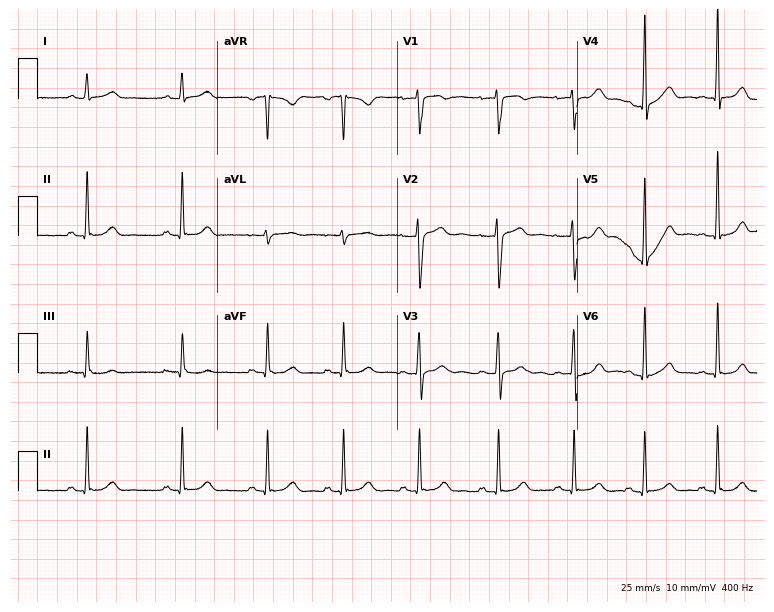
Electrocardiogram (7.3-second recording at 400 Hz), a 23-year-old female. Of the six screened findings (first-degree AV block, right bundle branch block, left bundle branch block, sinus bradycardia, atrial fibrillation, sinus tachycardia), none is recorded. Only these six findings were labelled.